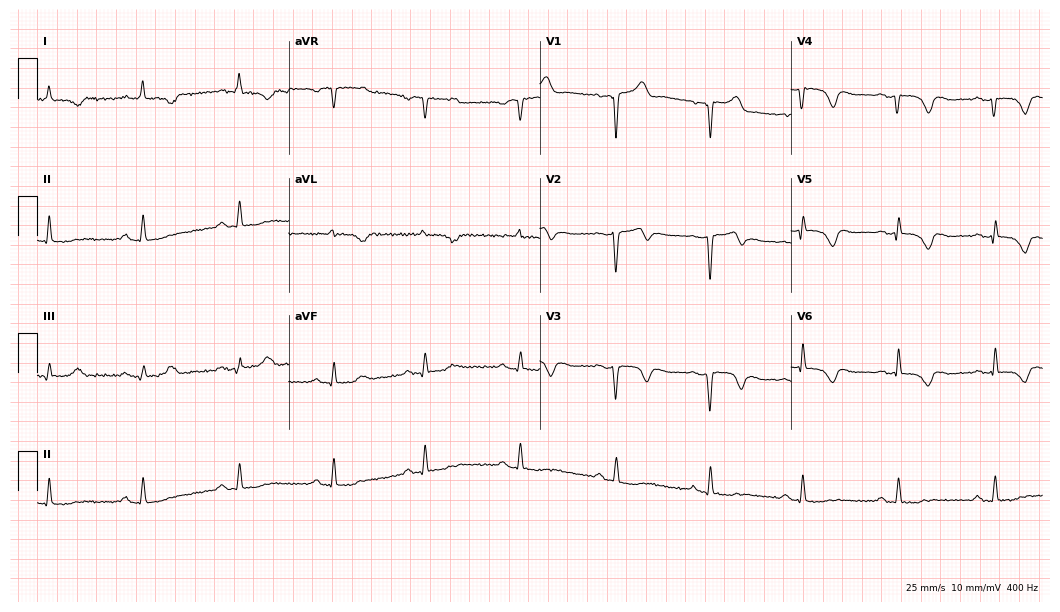
ECG — a male patient, 83 years old. Screened for six findings — first-degree AV block, right bundle branch block, left bundle branch block, sinus bradycardia, atrial fibrillation, sinus tachycardia — none is recorded.